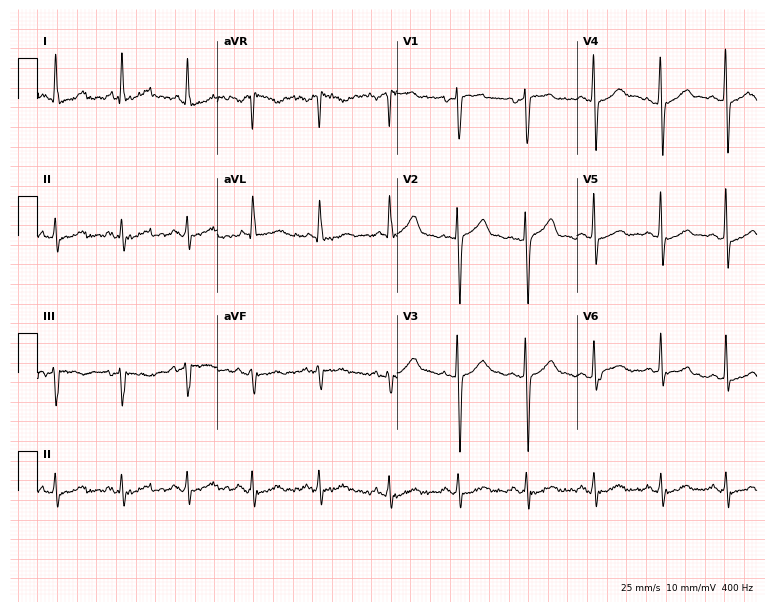
Standard 12-lead ECG recorded from a 46-year-old man (7.3-second recording at 400 Hz). None of these six findings is recorded: first-degree AV block, right bundle branch block, left bundle branch block, sinus bradycardia, atrial fibrillation, sinus tachycardia. Only these six findings were labelled.